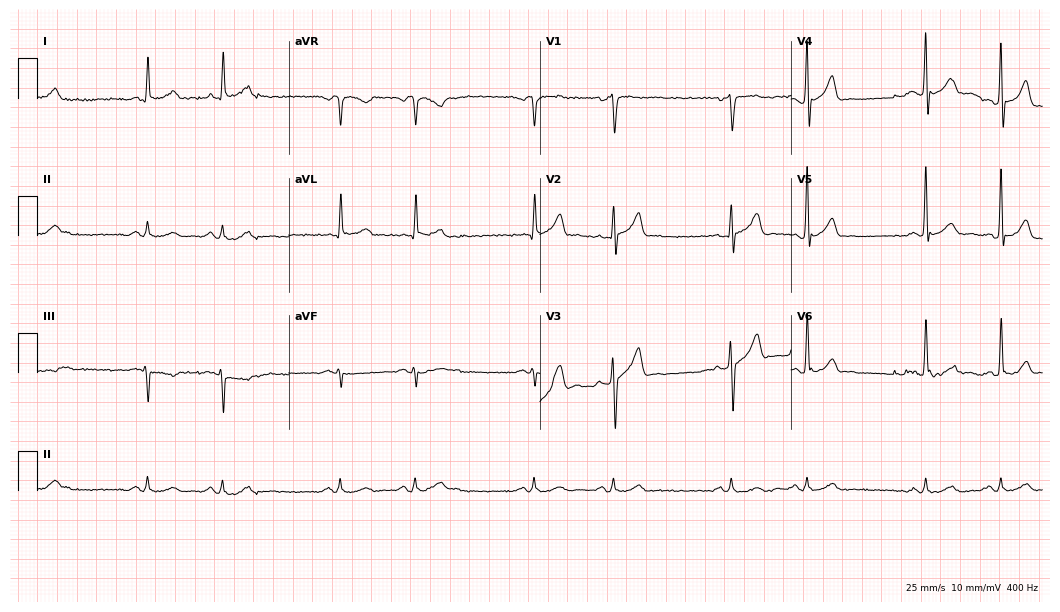
ECG — a male patient, 59 years old. Screened for six findings — first-degree AV block, right bundle branch block, left bundle branch block, sinus bradycardia, atrial fibrillation, sinus tachycardia — none is recorded. Only these six findings were labelled.